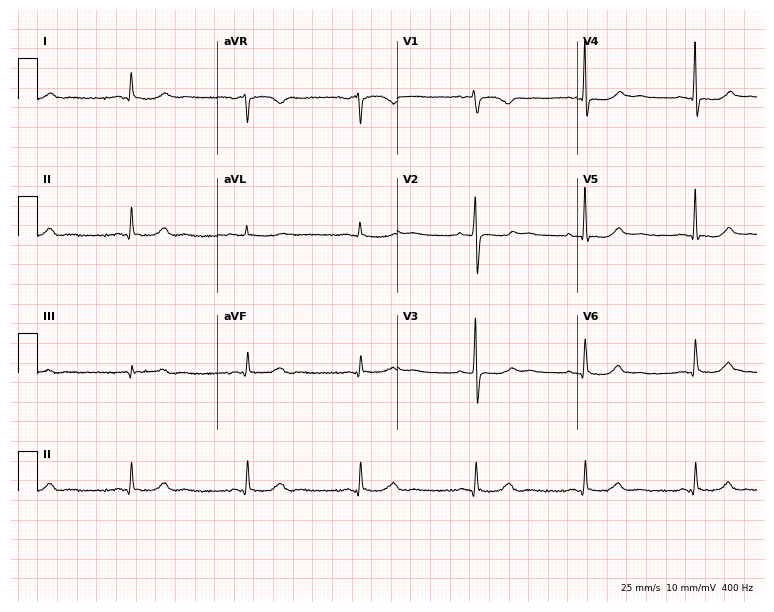
Electrocardiogram (7.3-second recording at 400 Hz), a female, 65 years old. Of the six screened findings (first-degree AV block, right bundle branch block (RBBB), left bundle branch block (LBBB), sinus bradycardia, atrial fibrillation (AF), sinus tachycardia), none is recorded.